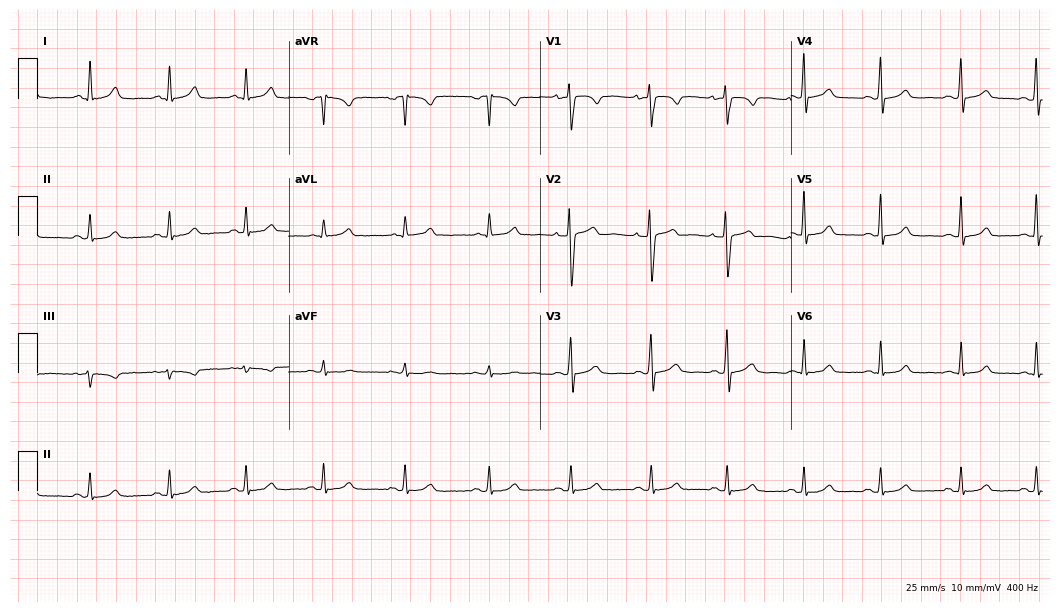
12-lead ECG from a 54-year-old female. No first-degree AV block, right bundle branch block (RBBB), left bundle branch block (LBBB), sinus bradycardia, atrial fibrillation (AF) or sinus tachycardia recorded for this tracing.